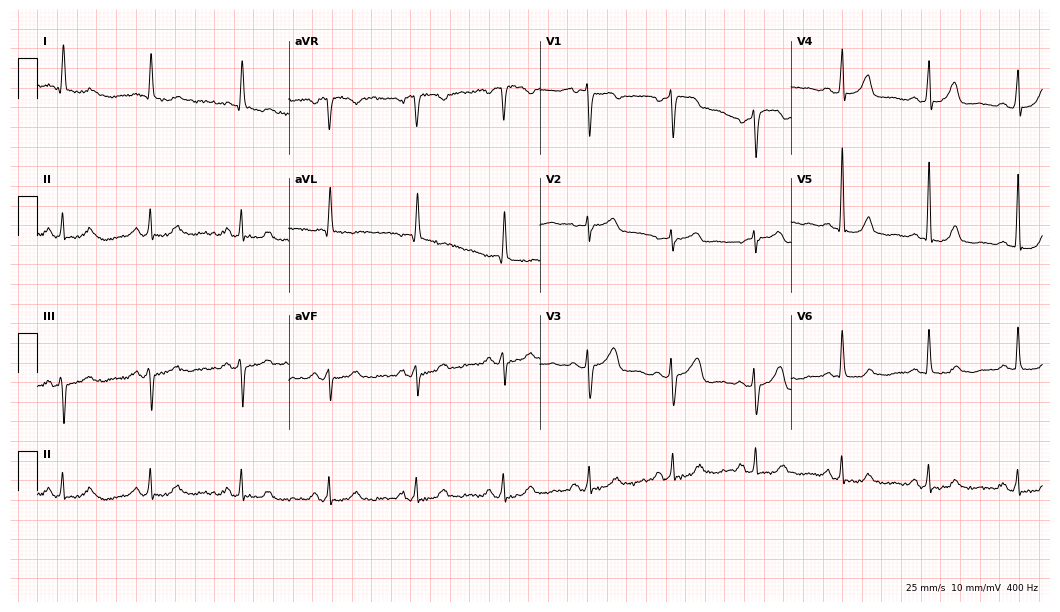
ECG (10.2-second recording at 400 Hz) — a 71-year-old woman. Screened for six findings — first-degree AV block, right bundle branch block, left bundle branch block, sinus bradycardia, atrial fibrillation, sinus tachycardia — none is recorded. Findings outside these six are not listed.